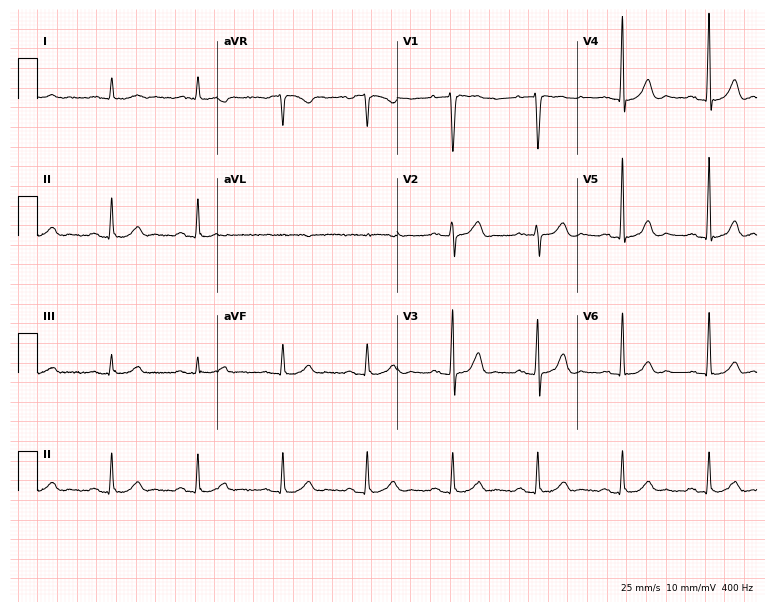
12-lead ECG from a 78-year-old male (7.3-second recording at 400 Hz). Recorded interpretation: within normal limits.